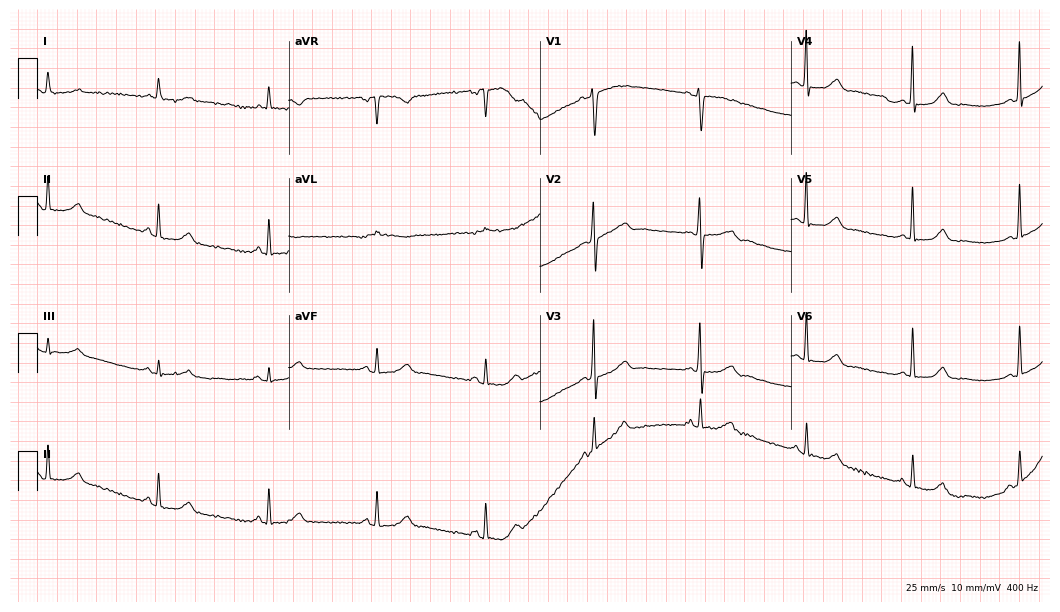
12-lead ECG from a 77-year-old woman (10.2-second recording at 400 Hz). Recorded interpretation: within normal limits.